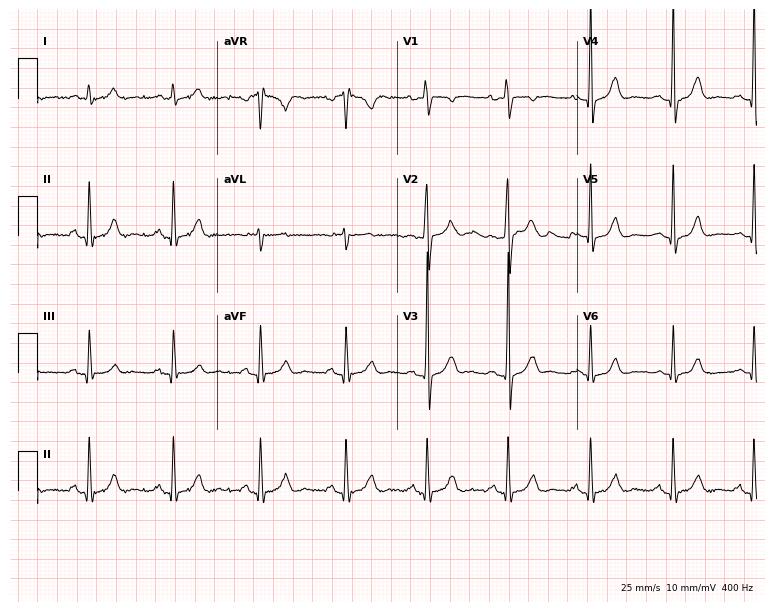
Resting 12-lead electrocardiogram. Patient: a 29-year-old man. Read as a normal ECG.